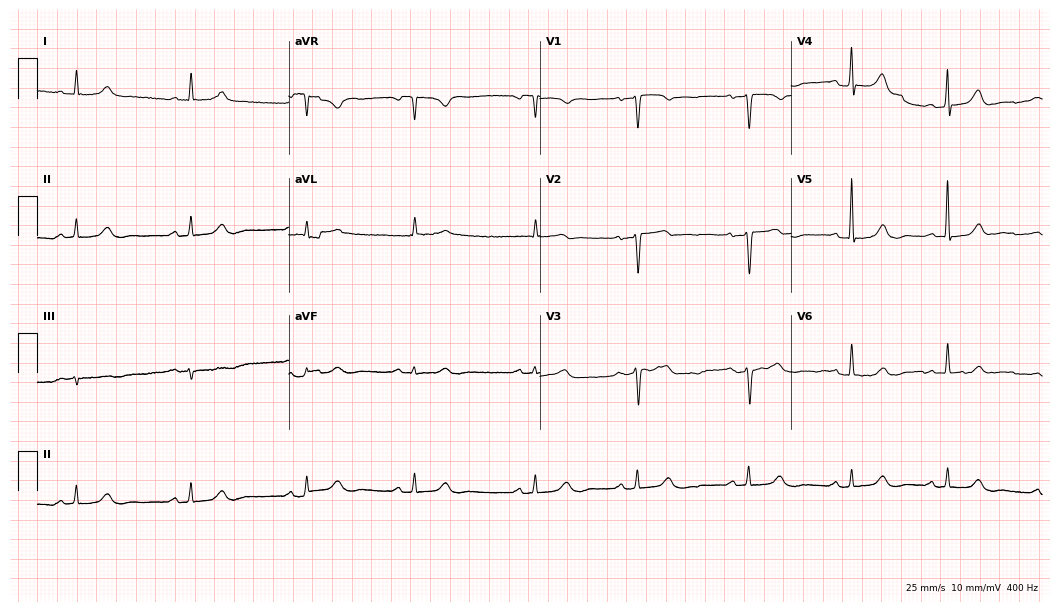
12-lead ECG (10.2-second recording at 400 Hz) from a 78-year-old female. Screened for six findings — first-degree AV block, right bundle branch block, left bundle branch block, sinus bradycardia, atrial fibrillation, sinus tachycardia — none is recorded.